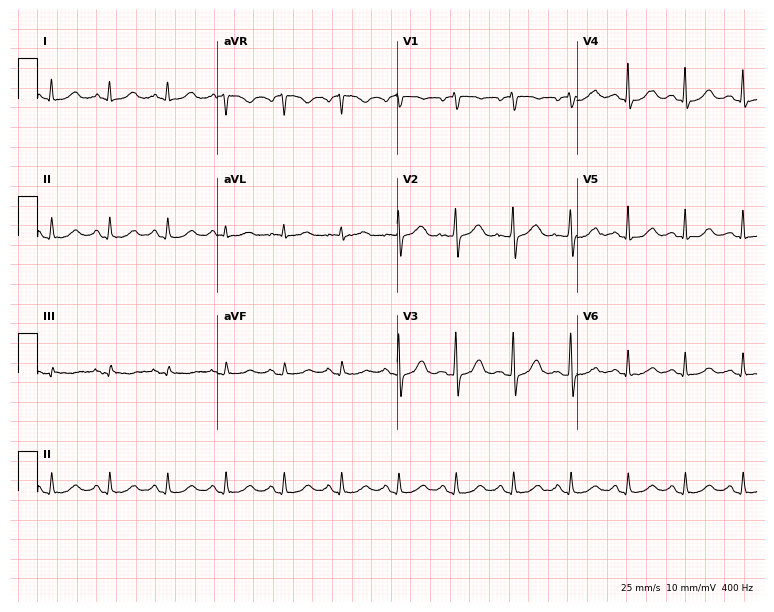
Standard 12-lead ECG recorded from a female, 44 years old (7.3-second recording at 400 Hz). The tracing shows sinus tachycardia (a sinus rate of 100 beats per minute or more).